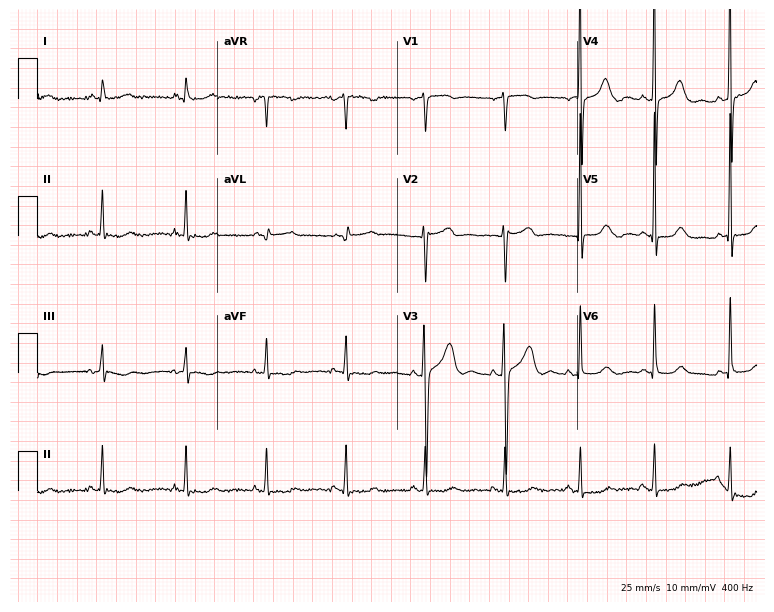
12-lead ECG from a woman, 53 years old (7.3-second recording at 400 Hz). No first-degree AV block, right bundle branch block (RBBB), left bundle branch block (LBBB), sinus bradycardia, atrial fibrillation (AF) or sinus tachycardia recorded for this tracing. Findings outside these six are not listed.